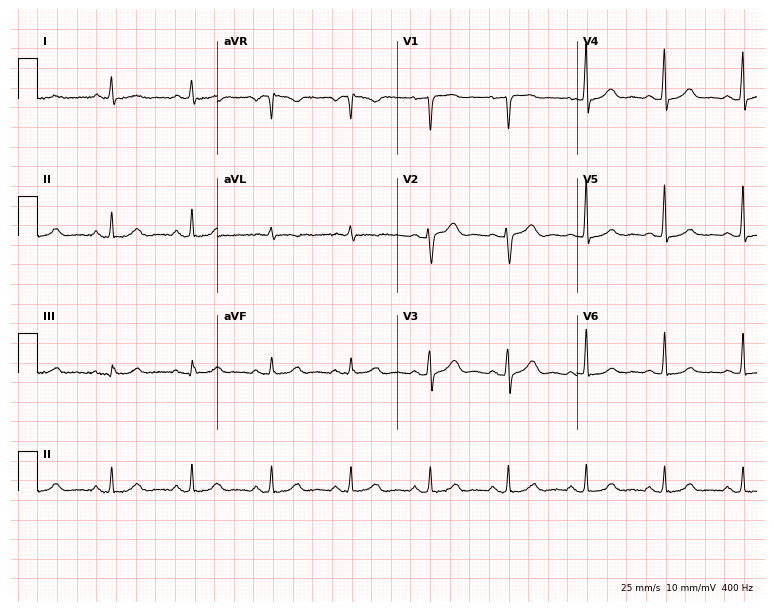
Standard 12-lead ECG recorded from a 65-year-old female patient (7.3-second recording at 400 Hz). None of these six findings is recorded: first-degree AV block, right bundle branch block, left bundle branch block, sinus bradycardia, atrial fibrillation, sinus tachycardia. Other findings, if any, are not listed.